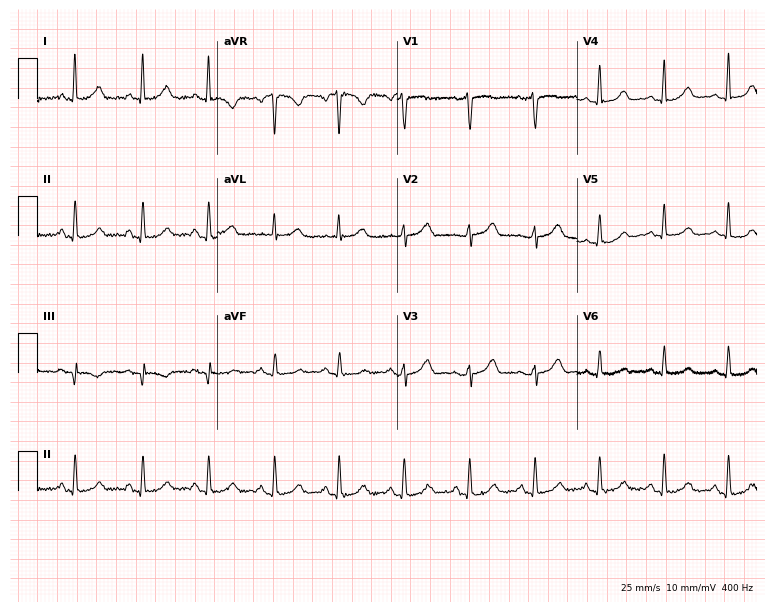
ECG — a 59-year-old female. Screened for six findings — first-degree AV block, right bundle branch block, left bundle branch block, sinus bradycardia, atrial fibrillation, sinus tachycardia — none is recorded. Findings outside these six are not listed.